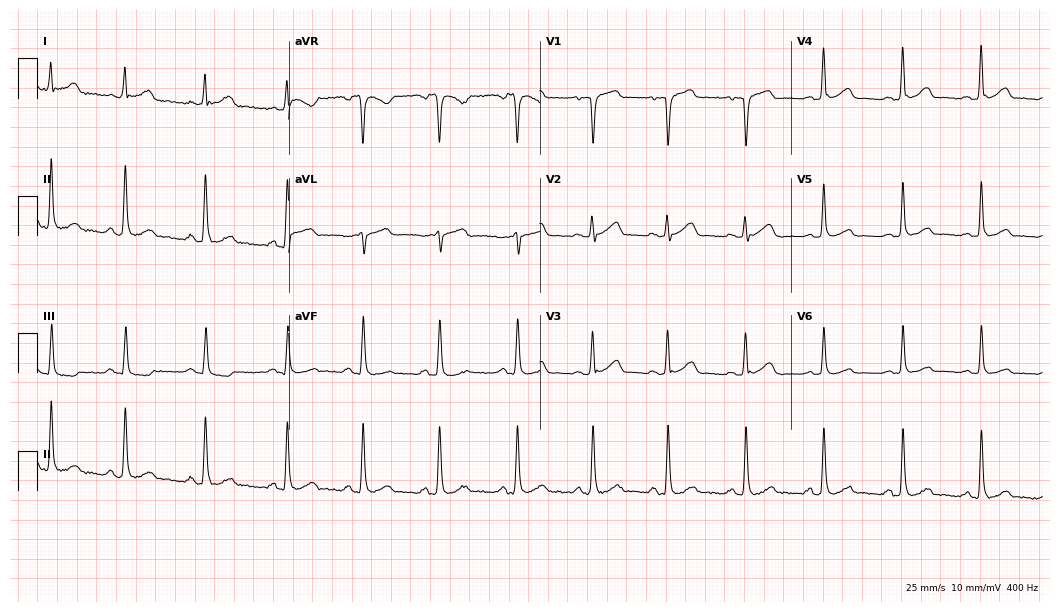
Resting 12-lead electrocardiogram. Patient: a male, 41 years old. Read as a normal ECG.